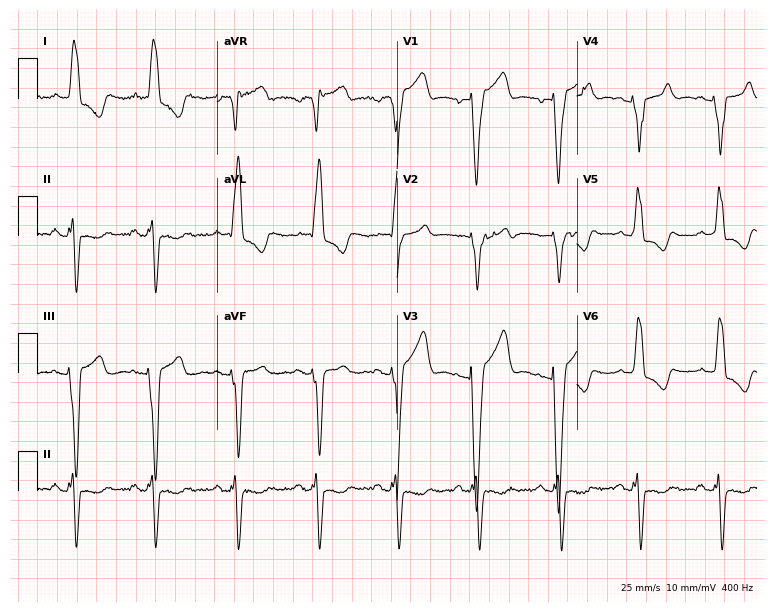
Standard 12-lead ECG recorded from a female, 83 years old (7.3-second recording at 400 Hz). The tracing shows left bundle branch block (LBBB).